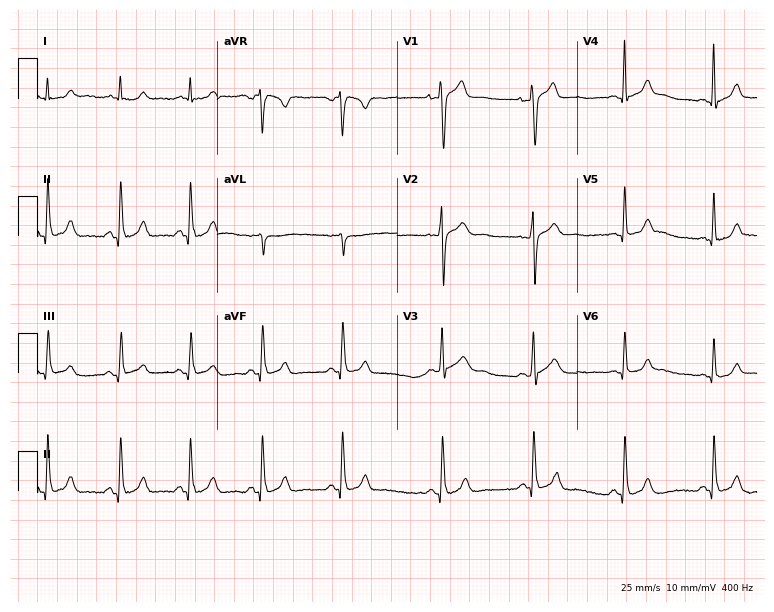
12-lead ECG from a man, 40 years old. Recorded interpretation: within normal limits.